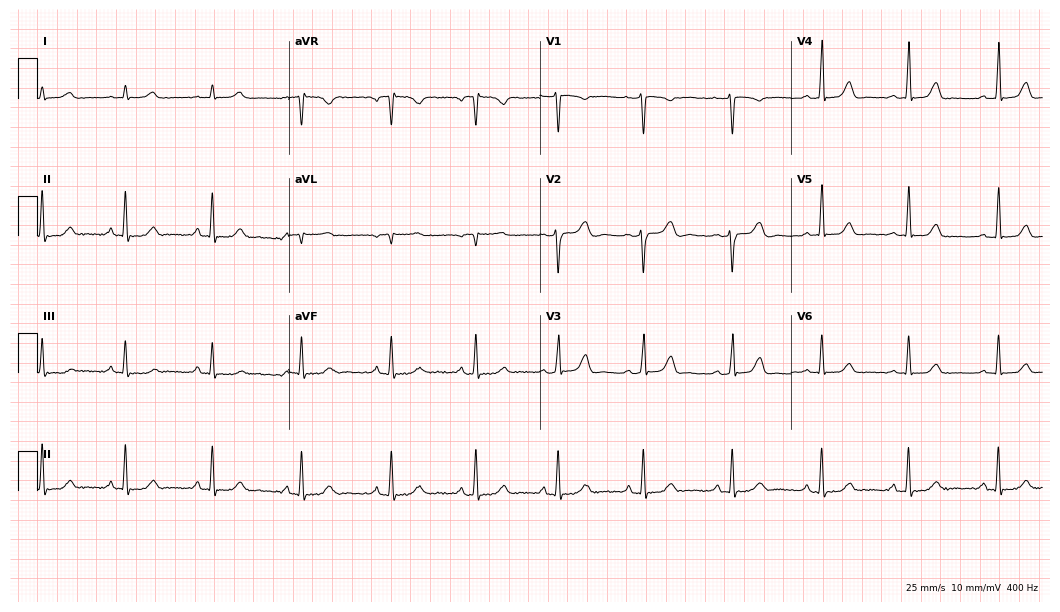
12-lead ECG from a woman, 32 years old. Labelled as a normal ECG.